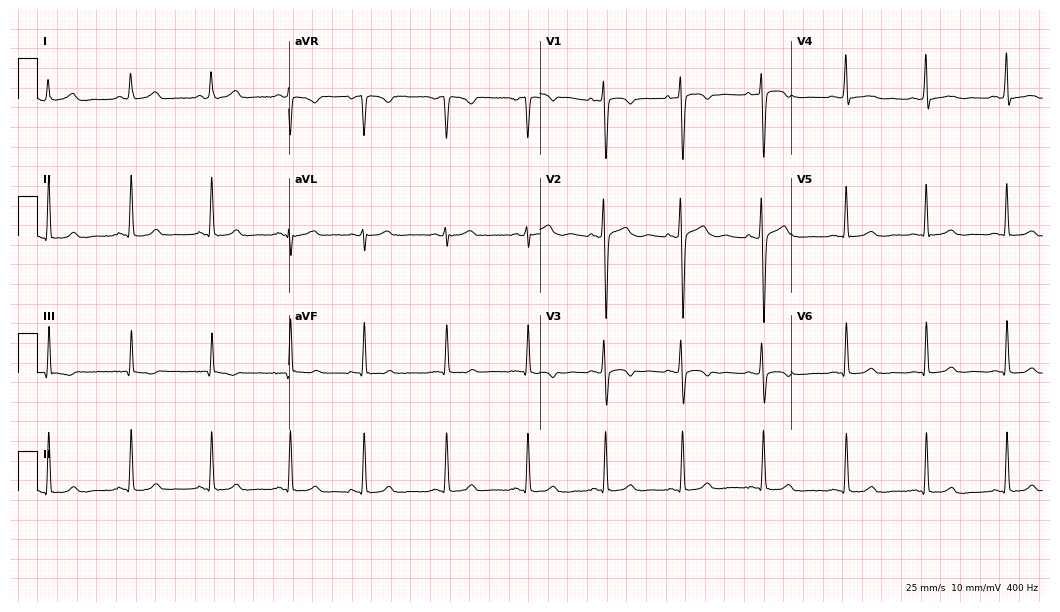
ECG — a 27-year-old woman. Labelled as a normal ECG.